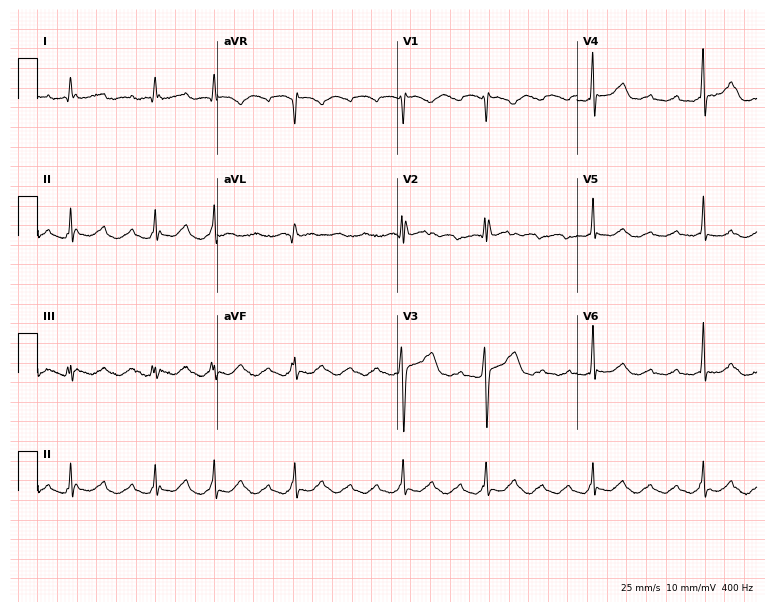
12-lead ECG (7.3-second recording at 400 Hz) from a 57-year-old man. Screened for six findings — first-degree AV block, right bundle branch block, left bundle branch block, sinus bradycardia, atrial fibrillation, sinus tachycardia — none is recorded. Other findings, if any, are not listed.